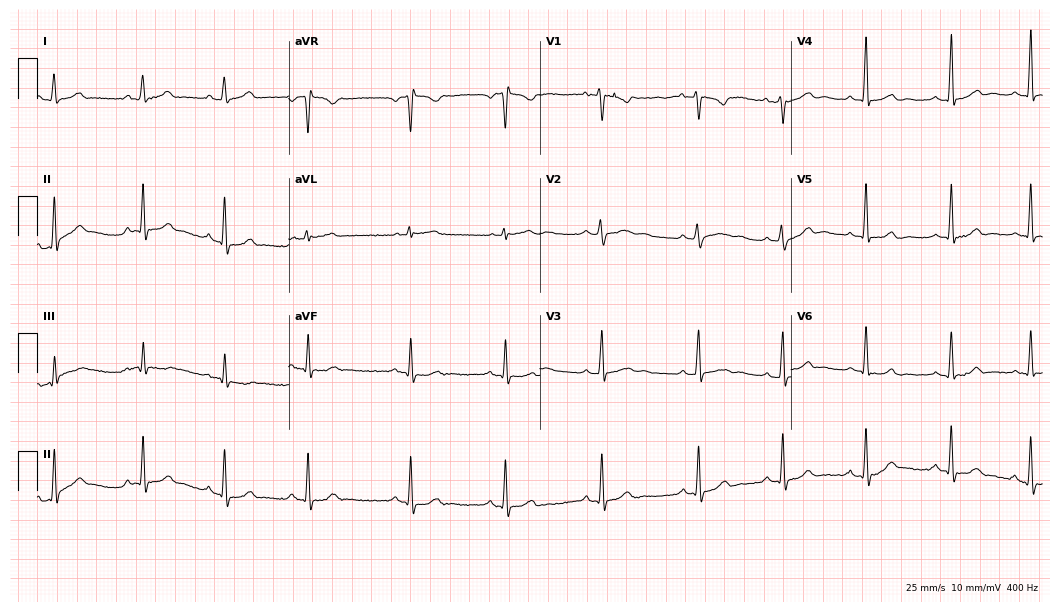
Standard 12-lead ECG recorded from a female patient, 21 years old (10.2-second recording at 400 Hz). Read as a normal ECG.